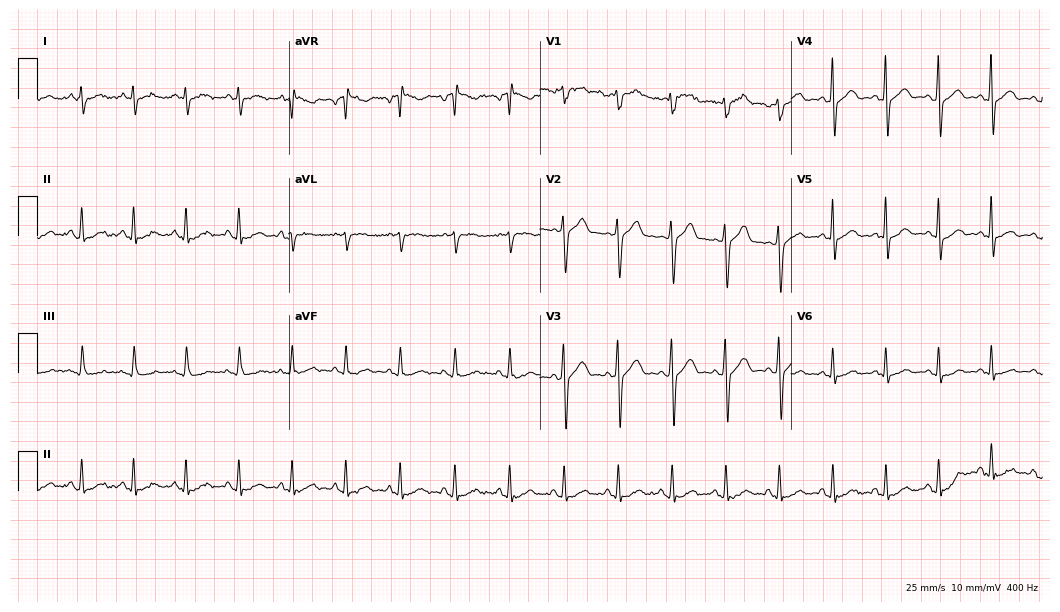
Electrocardiogram (10.2-second recording at 400 Hz), a 41-year-old male patient. Interpretation includes sinus tachycardia (a sinus rate of 100 beats per minute or more).